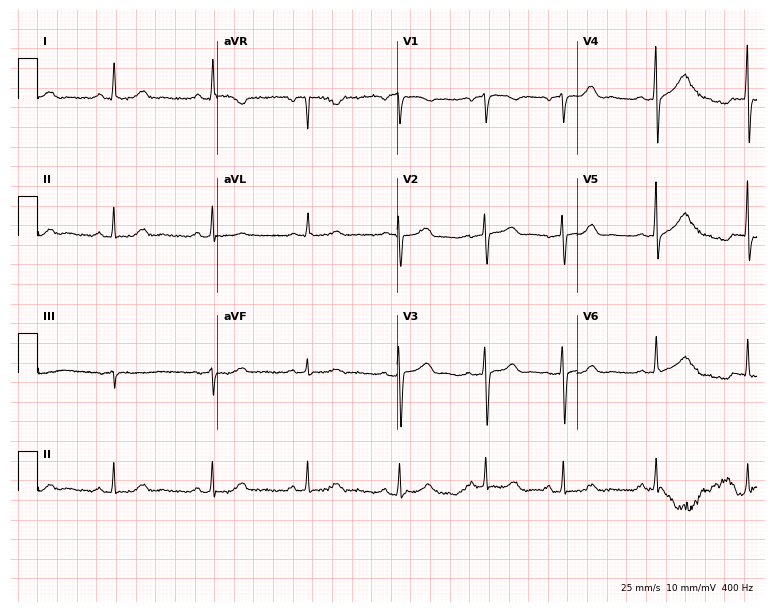
Standard 12-lead ECG recorded from a female, 55 years old (7.3-second recording at 400 Hz). Read as a normal ECG.